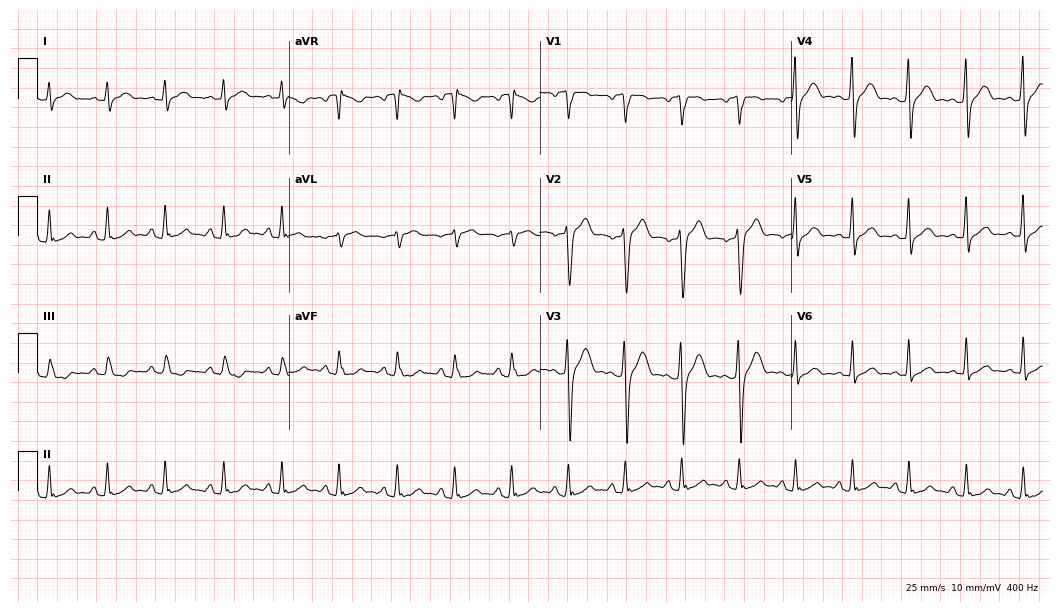
ECG (10.2-second recording at 400 Hz) — a male patient, 21 years old. Labelled as a normal ECG.